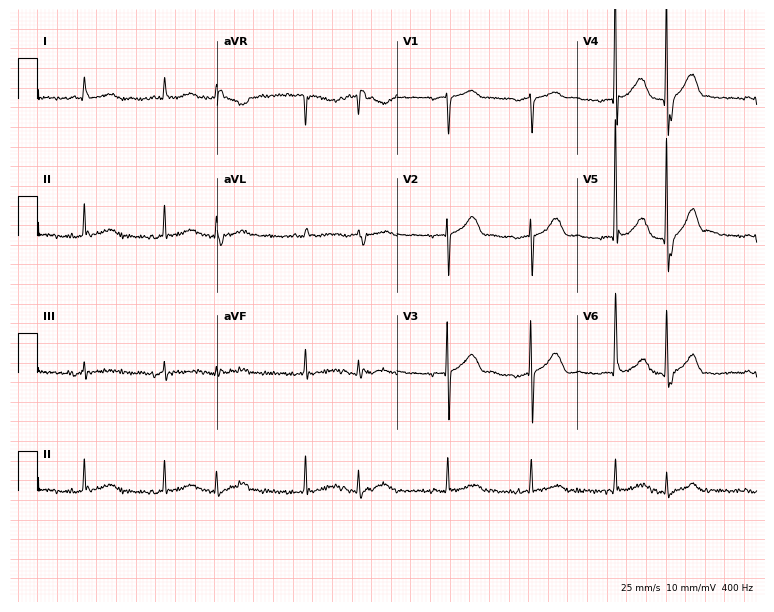
12-lead ECG (7.3-second recording at 400 Hz) from a man, 85 years old. Screened for six findings — first-degree AV block, right bundle branch block, left bundle branch block, sinus bradycardia, atrial fibrillation, sinus tachycardia — none is recorded. Findings outside these six are not listed.